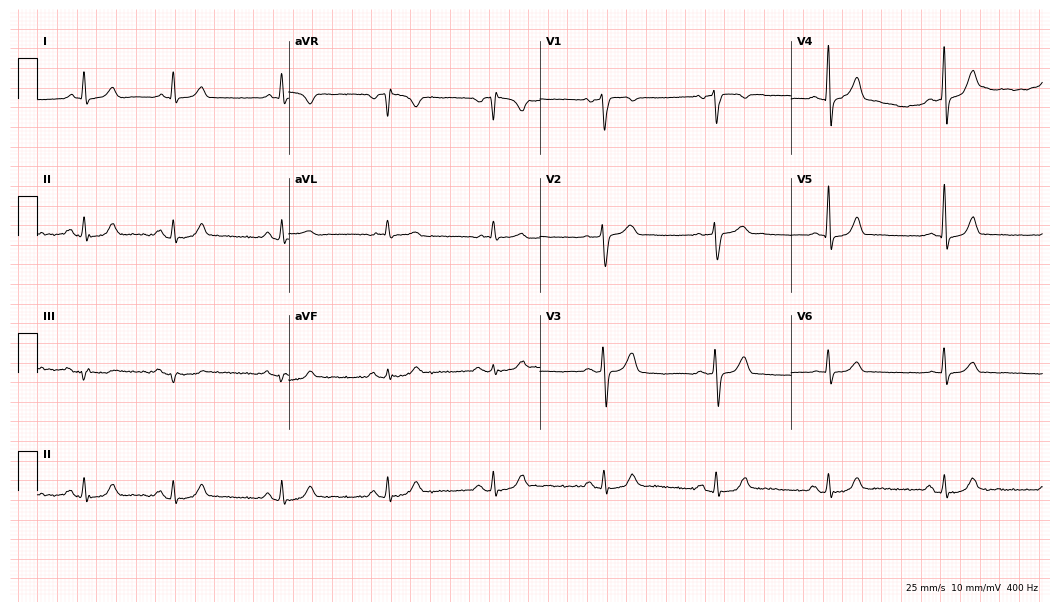
Standard 12-lead ECG recorded from a male patient, 50 years old (10.2-second recording at 400 Hz). None of these six findings is recorded: first-degree AV block, right bundle branch block (RBBB), left bundle branch block (LBBB), sinus bradycardia, atrial fibrillation (AF), sinus tachycardia.